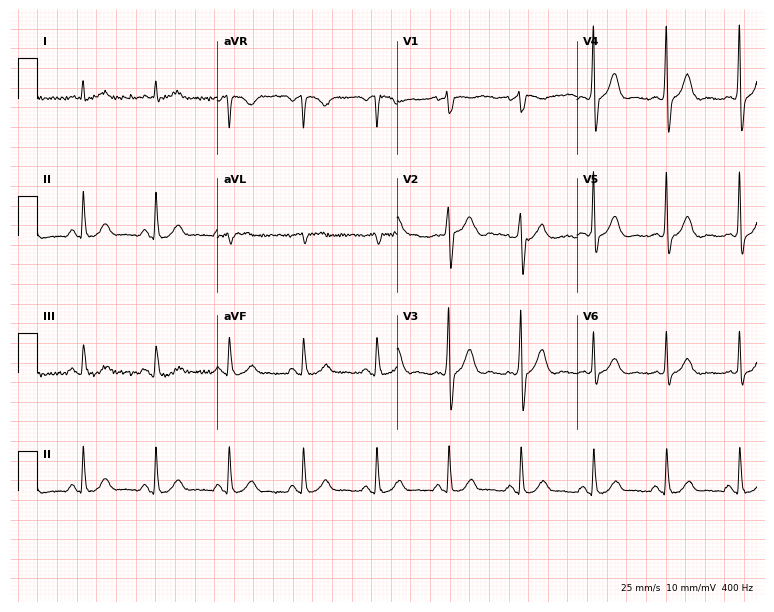
12-lead ECG from a male patient, 58 years old (7.3-second recording at 400 Hz). Recorded interpretation: within normal limits.